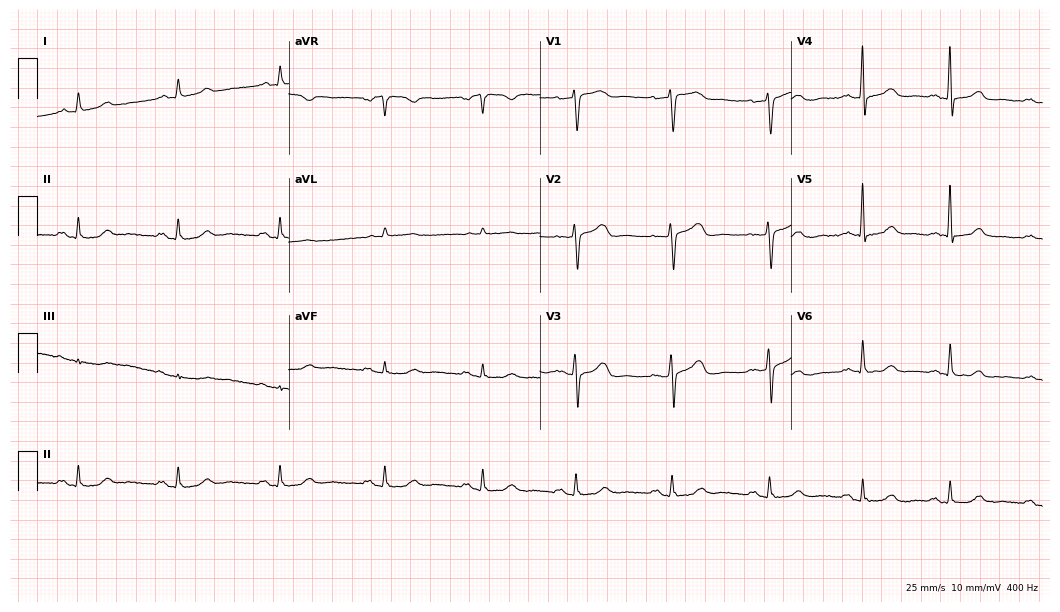
12-lead ECG from a woman, 65 years old. Screened for six findings — first-degree AV block, right bundle branch block, left bundle branch block, sinus bradycardia, atrial fibrillation, sinus tachycardia — none is recorded.